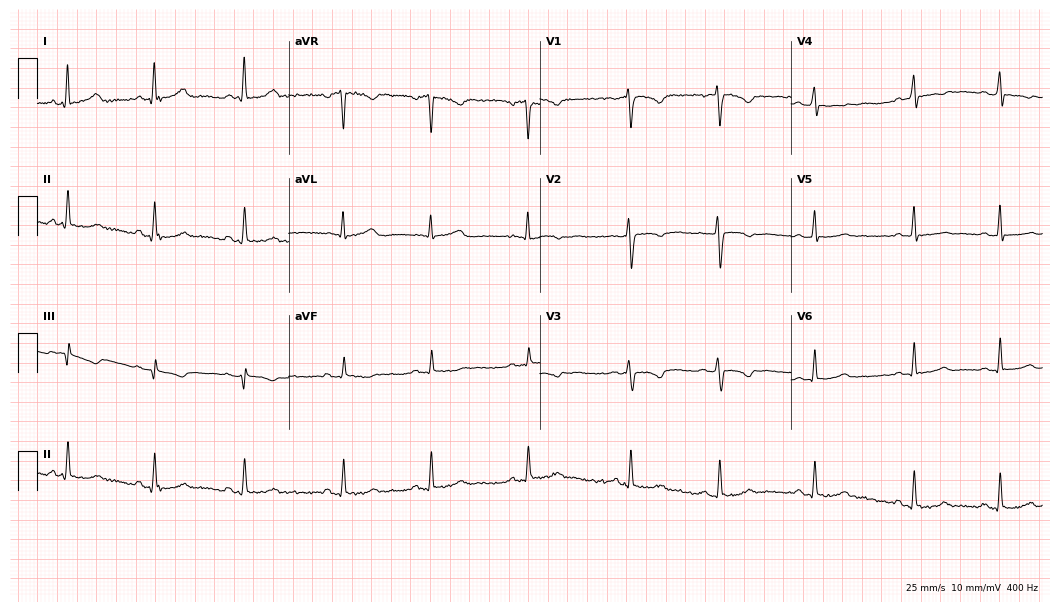
12-lead ECG from a female, 25 years old (10.2-second recording at 400 Hz). No first-degree AV block, right bundle branch block, left bundle branch block, sinus bradycardia, atrial fibrillation or sinus tachycardia recorded for this tracing. Only these six findings were labelled.